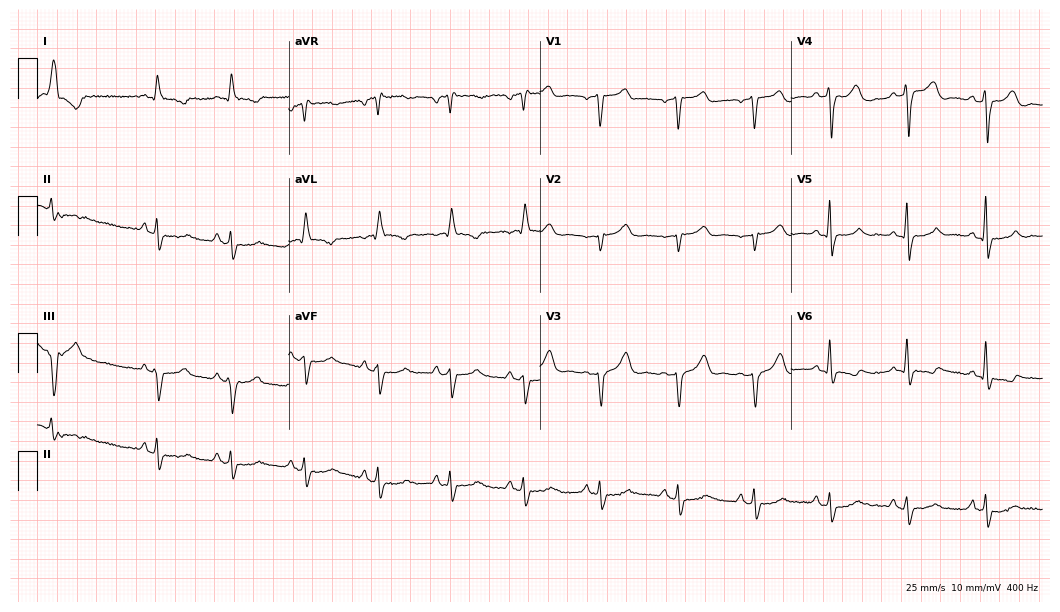
12-lead ECG (10.2-second recording at 400 Hz) from a man, 81 years old. Screened for six findings — first-degree AV block, right bundle branch block, left bundle branch block, sinus bradycardia, atrial fibrillation, sinus tachycardia — none is recorded.